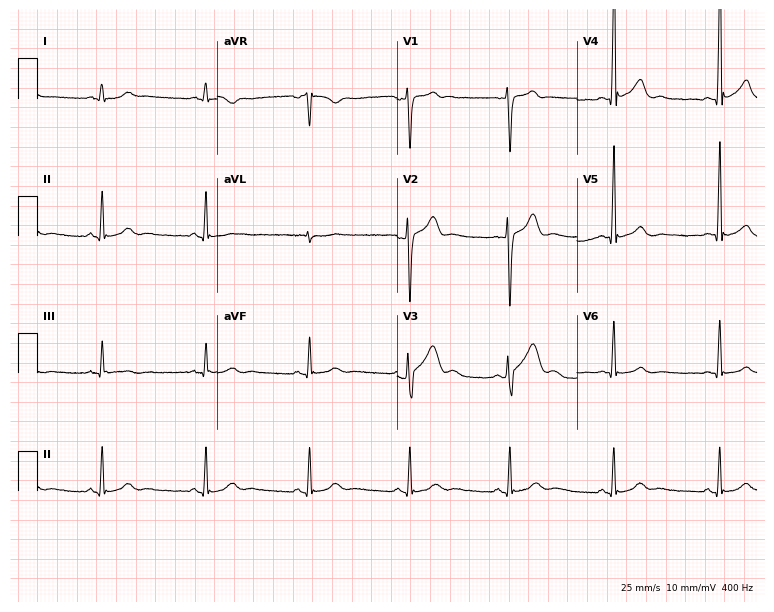
ECG — a 32-year-old man. Screened for six findings — first-degree AV block, right bundle branch block, left bundle branch block, sinus bradycardia, atrial fibrillation, sinus tachycardia — none is recorded. Other findings, if any, are not listed.